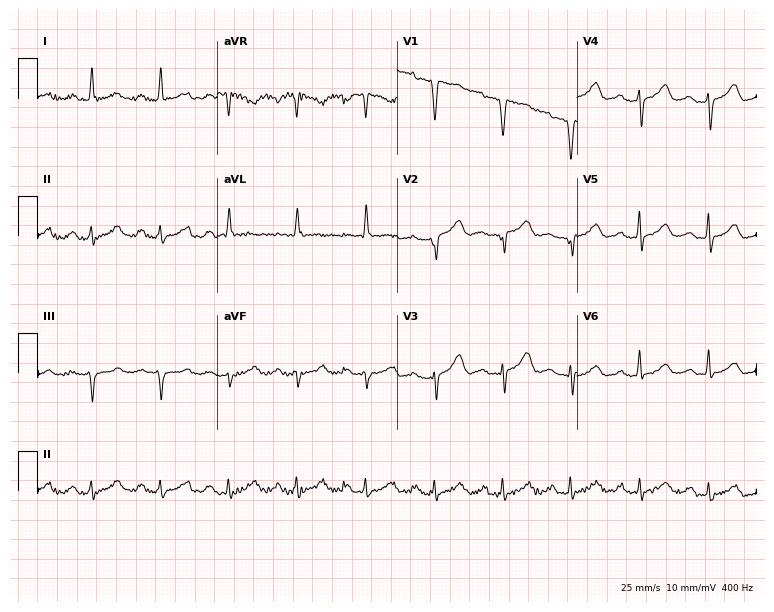
ECG — a female patient, 39 years old. Findings include first-degree AV block.